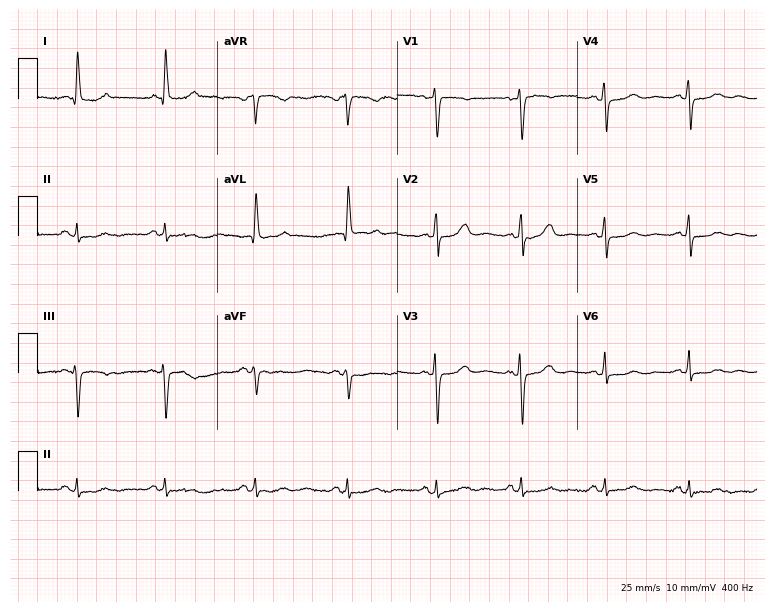
Resting 12-lead electrocardiogram (7.3-second recording at 400 Hz). Patient: a 61-year-old female. None of these six findings is recorded: first-degree AV block, right bundle branch block, left bundle branch block, sinus bradycardia, atrial fibrillation, sinus tachycardia. Findings outside these six are not listed.